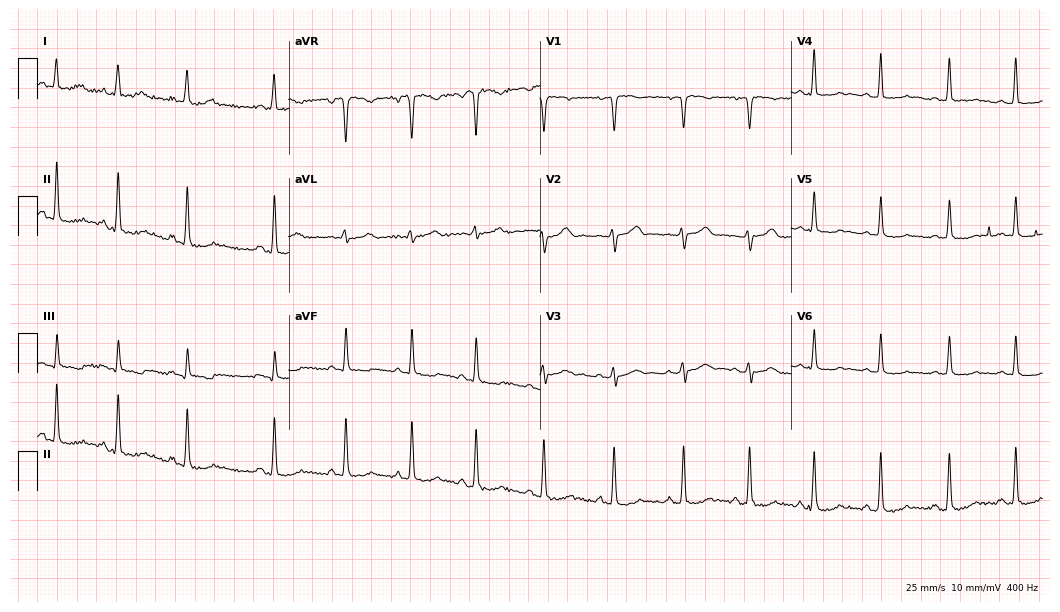
12-lead ECG from a 35-year-old female patient. No first-degree AV block, right bundle branch block, left bundle branch block, sinus bradycardia, atrial fibrillation or sinus tachycardia recorded for this tracing.